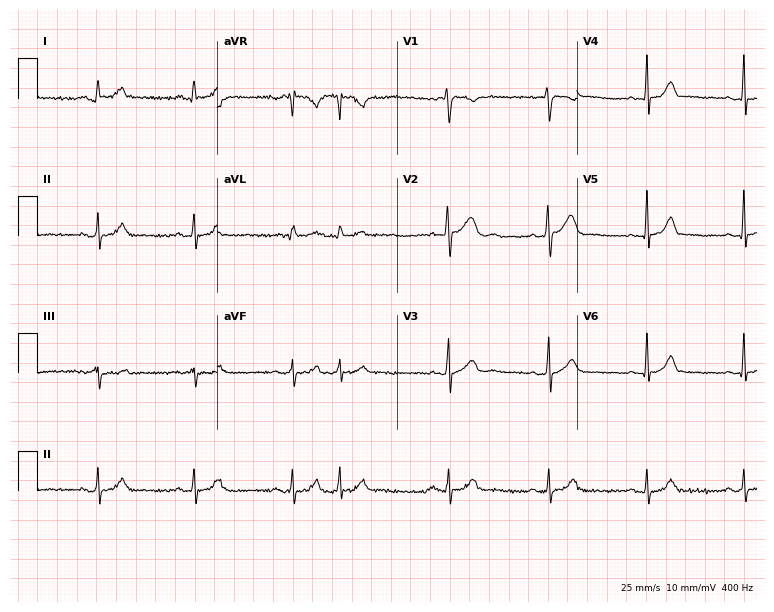
12-lead ECG from a 30-year-old female. Screened for six findings — first-degree AV block, right bundle branch block, left bundle branch block, sinus bradycardia, atrial fibrillation, sinus tachycardia — none is recorded.